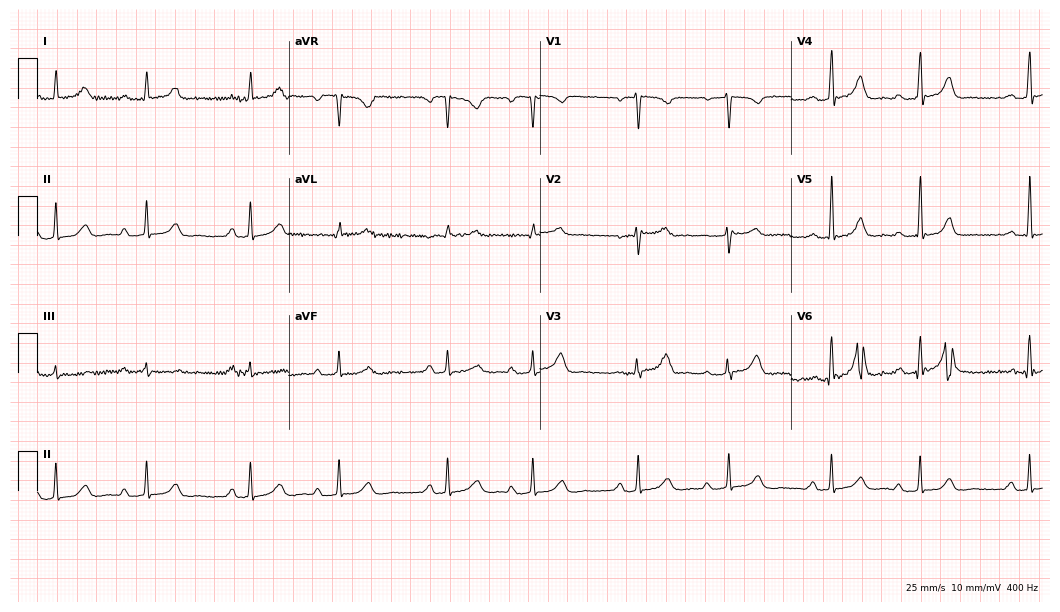
12-lead ECG from a 41-year-old woman. Findings include first-degree AV block.